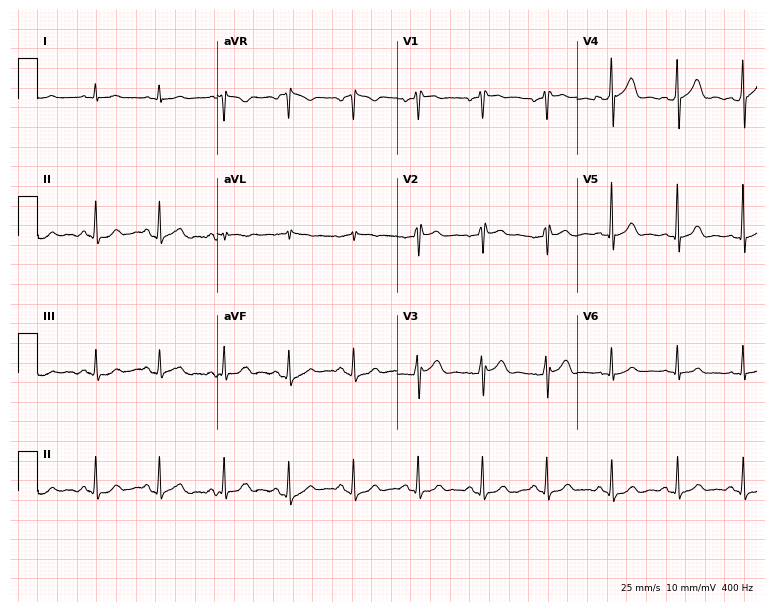
Electrocardiogram, a 57-year-old male. Of the six screened findings (first-degree AV block, right bundle branch block (RBBB), left bundle branch block (LBBB), sinus bradycardia, atrial fibrillation (AF), sinus tachycardia), none is recorded.